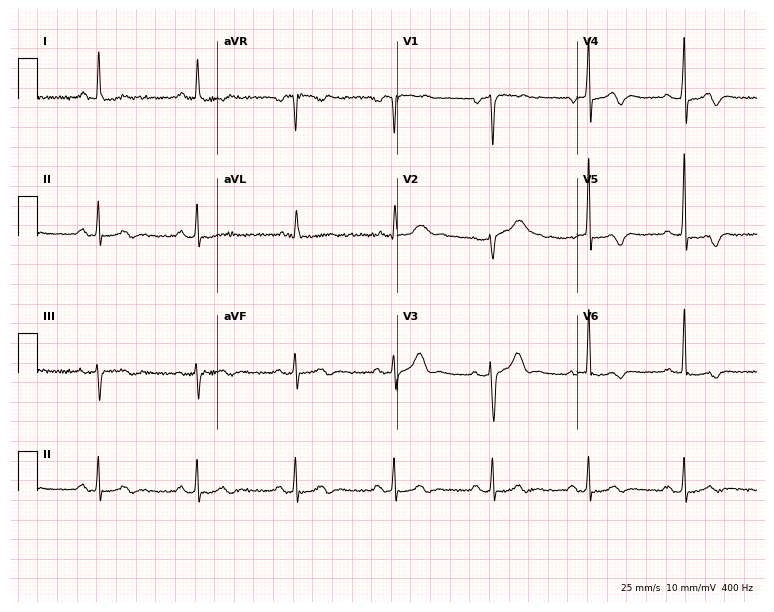
ECG (7.3-second recording at 400 Hz) — a 53-year-old male patient. Screened for six findings — first-degree AV block, right bundle branch block, left bundle branch block, sinus bradycardia, atrial fibrillation, sinus tachycardia — none is recorded.